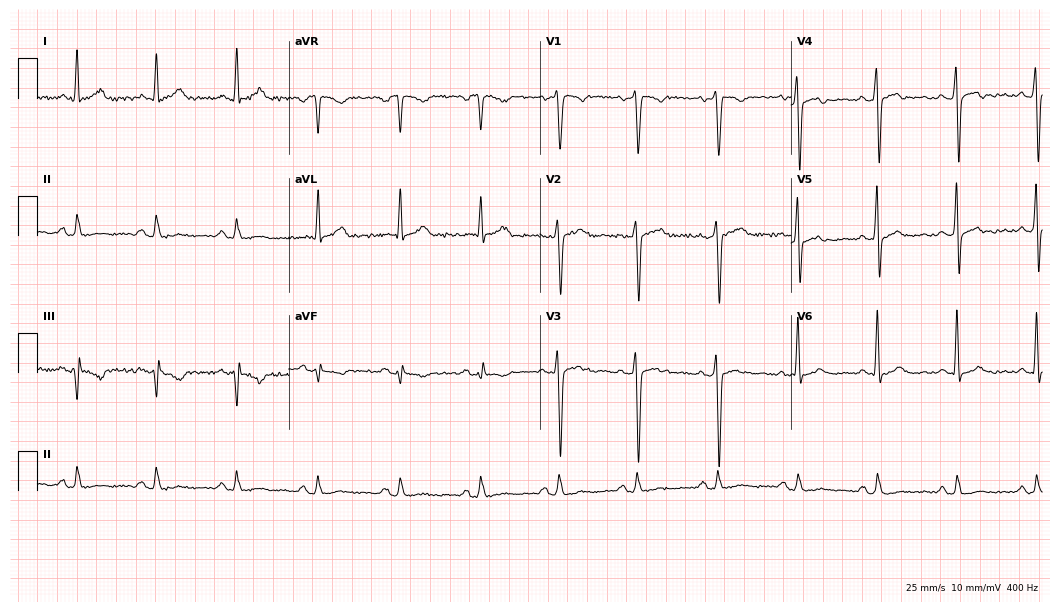
Electrocardiogram (10.2-second recording at 400 Hz), a 52-year-old man. Of the six screened findings (first-degree AV block, right bundle branch block, left bundle branch block, sinus bradycardia, atrial fibrillation, sinus tachycardia), none is recorded.